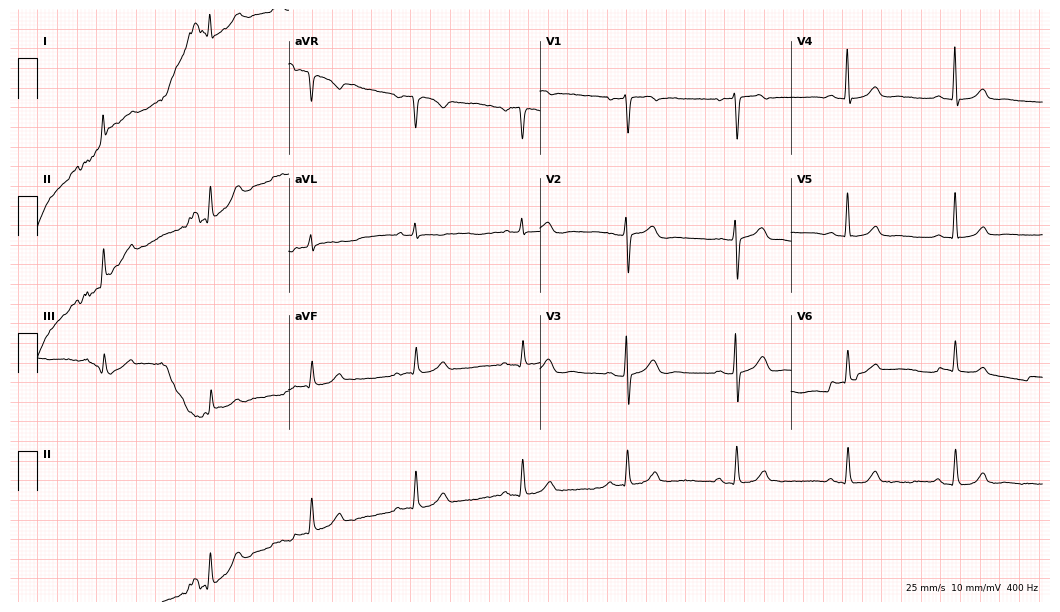
Standard 12-lead ECG recorded from a female patient, 78 years old. Read as a normal ECG.